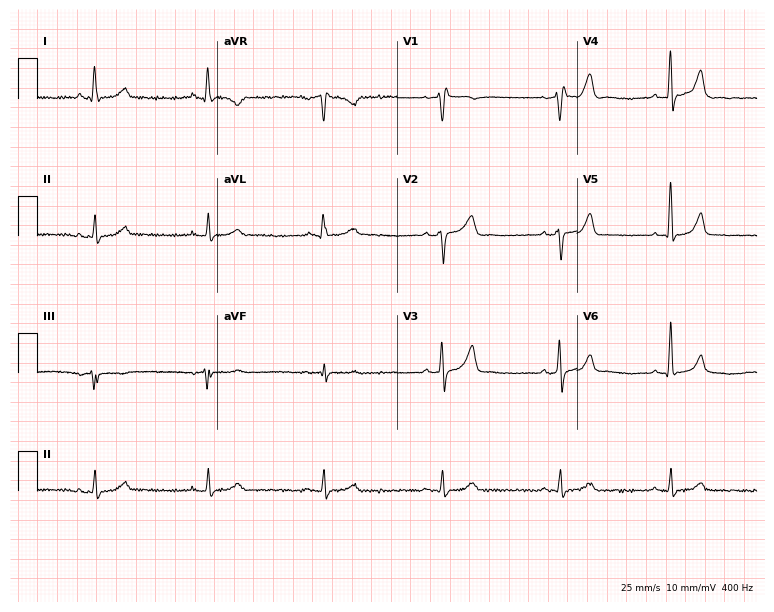
12-lead ECG from a male, 57 years old. No first-degree AV block, right bundle branch block, left bundle branch block, sinus bradycardia, atrial fibrillation or sinus tachycardia recorded for this tracing. Other findings, if any, are not listed.